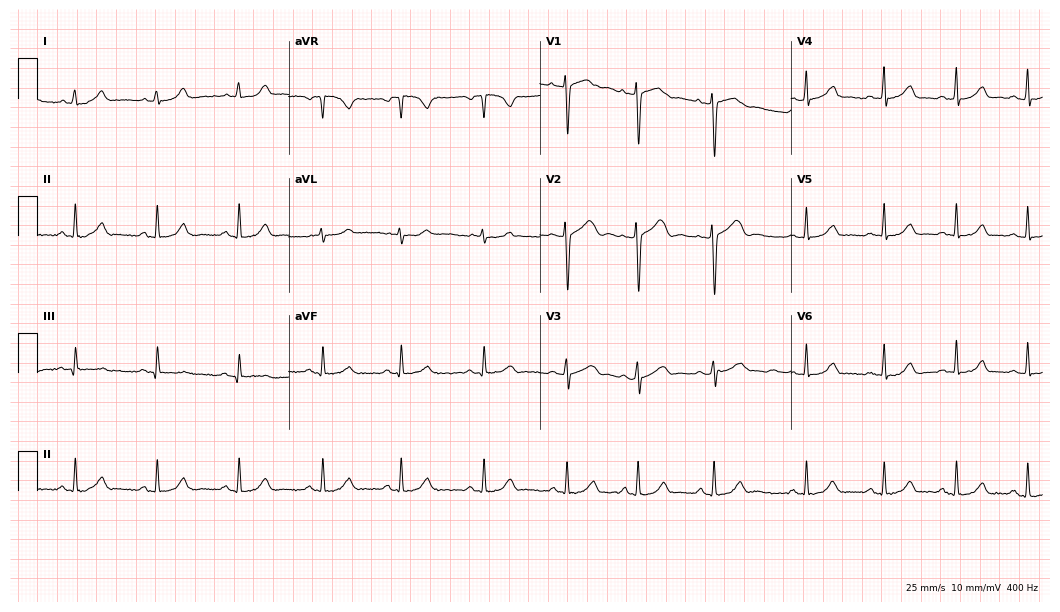
Standard 12-lead ECG recorded from a female patient, 20 years old (10.2-second recording at 400 Hz). None of these six findings is recorded: first-degree AV block, right bundle branch block (RBBB), left bundle branch block (LBBB), sinus bradycardia, atrial fibrillation (AF), sinus tachycardia. Only these six findings were labelled.